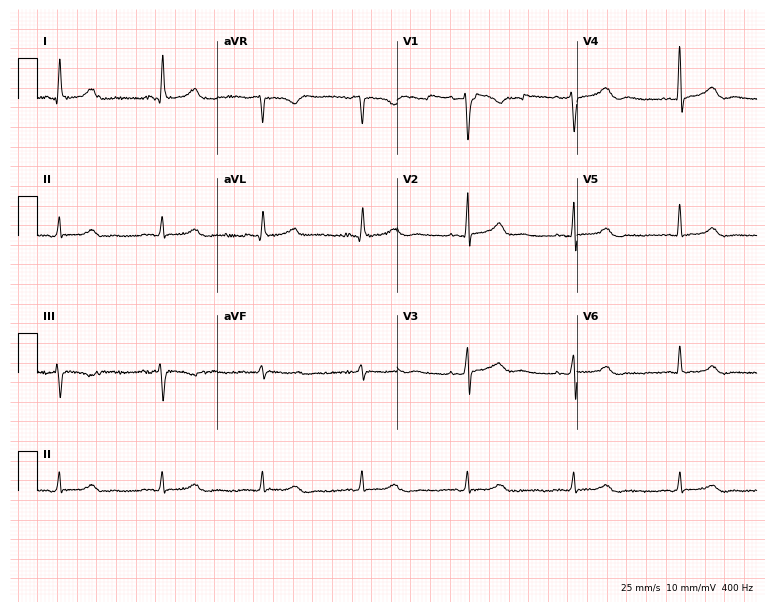
12-lead ECG from a 55-year-old female (7.3-second recording at 400 Hz). No first-degree AV block, right bundle branch block (RBBB), left bundle branch block (LBBB), sinus bradycardia, atrial fibrillation (AF) or sinus tachycardia recorded for this tracing. Findings outside these six are not listed.